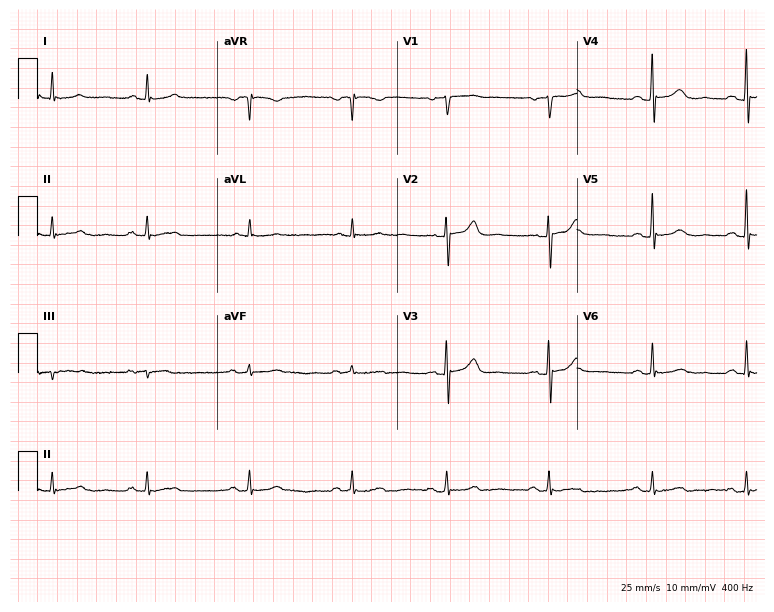
Electrocardiogram (7.3-second recording at 400 Hz), a woman, 47 years old. Overall reading on record: normal ECG.